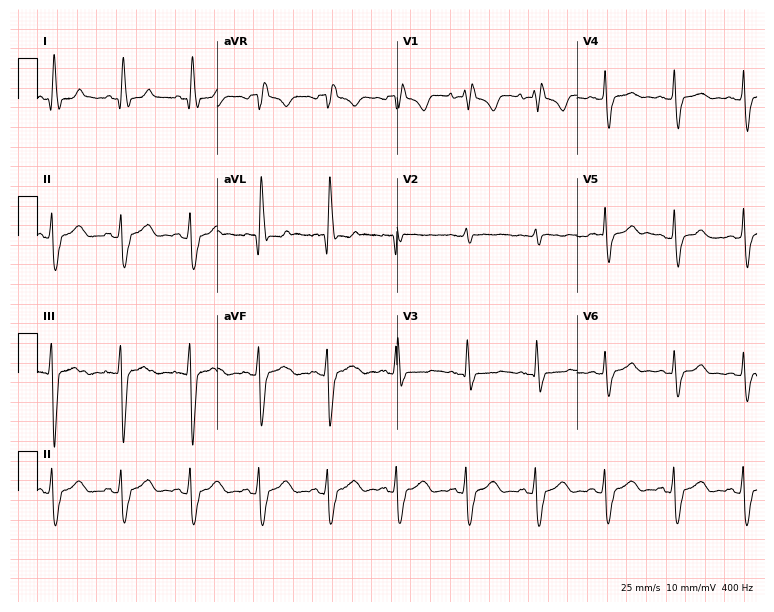
Electrocardiogram, a female, 46 years old. Interpretation includes right bundle branch block.